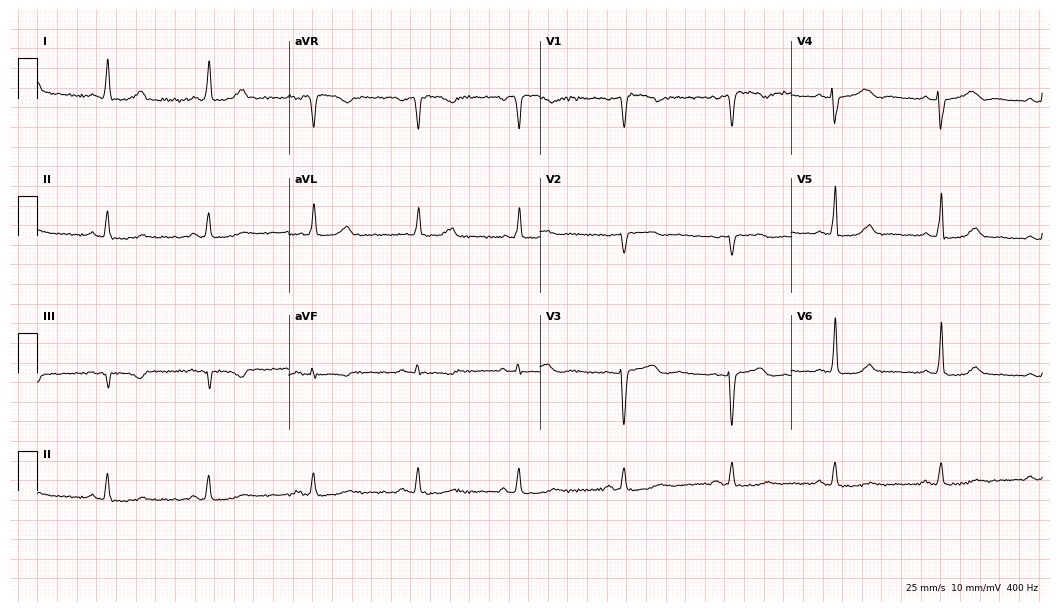
Electrocardiogram (10.2-second recording at 400 Hz), a female patient, 55 years old. Overall reading on record: normal ECG.